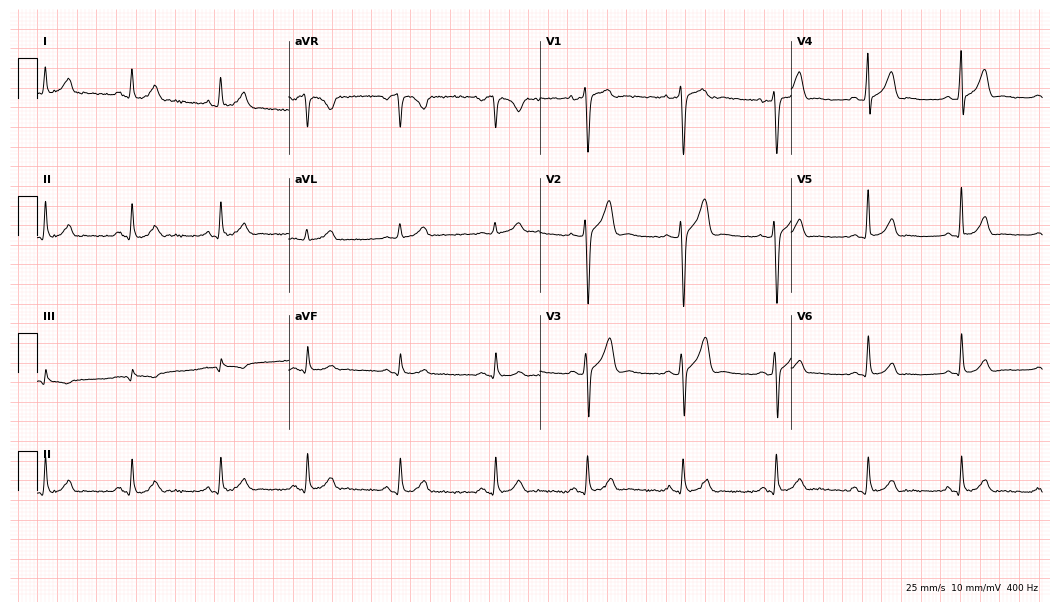
Standard 12-lead ECG recorded from a 37-year-old man (10.2-second recording at 400 Hz). Read as a normal ECG.